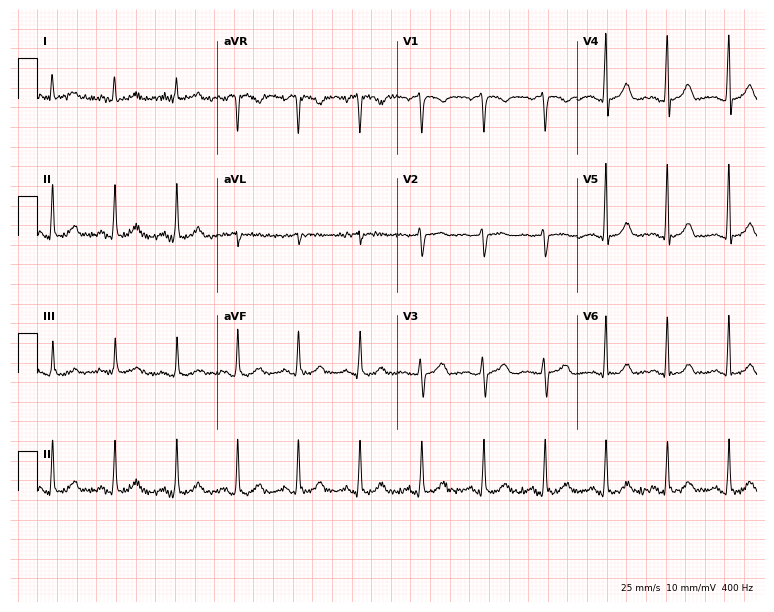
Electrocardiogram (7.3-second recording at 400 Hz), a woman, 37 years old. Overall reading on record: normal ECG.